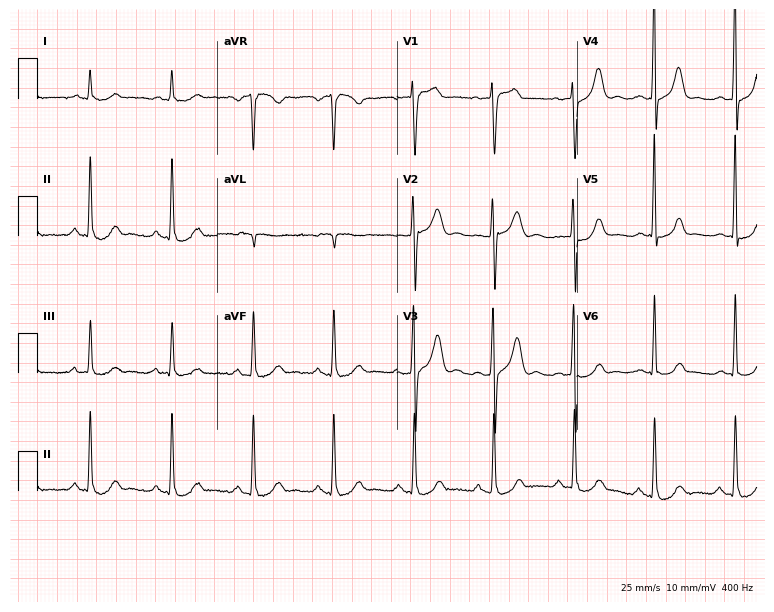
12-lead ECG (7.3-second recording at 400 Hz) from a male patient, 77 years old. Screened for six findings — first-degree AV block, right bundle branch block, left bundle branch block, sinus bradycardia, atrial fibrillation, sinus tachycardia — none is recorded. Other findings, if any, are not listed.